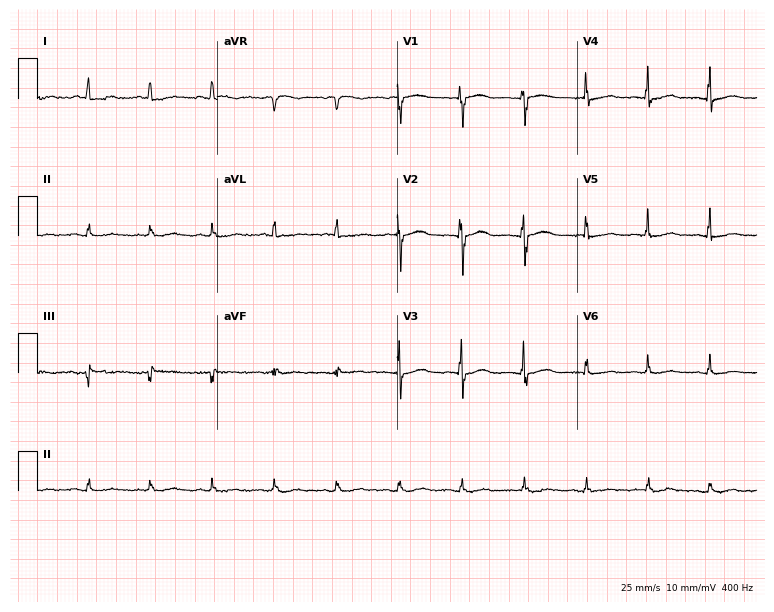
Resting 12-lead electrocardiogram. Patient: a woman, 56 years old. None of these six findings is recorded: first-degree AV block, right bundle branch block, left bundle branch block, sinus bradycardia, atrial fibrillation, sinus tachycardia.